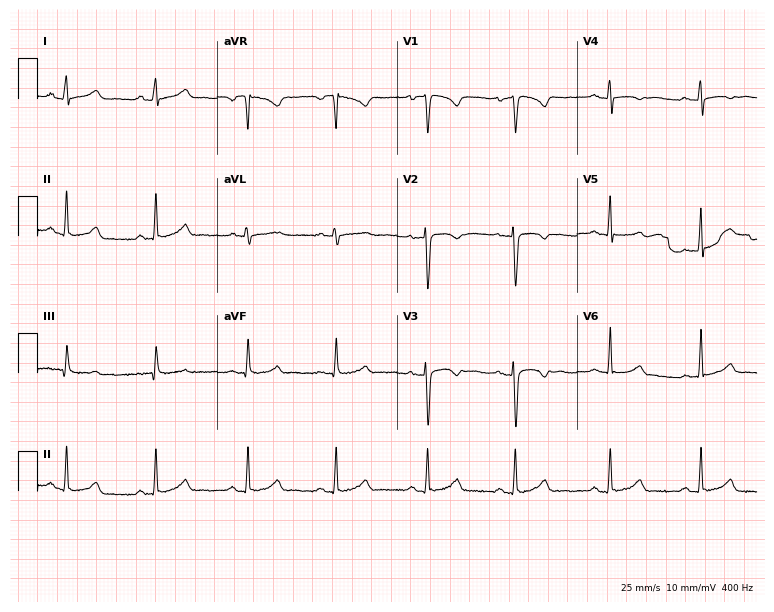
Electrocardiogram, a 26-year-old woman. Of the six screened findings (first-degree AV block, right bundle branch block, left bundle branch block, sinus bradycardia, atrial fibrillation, sinus tachycardia), none is recorded.